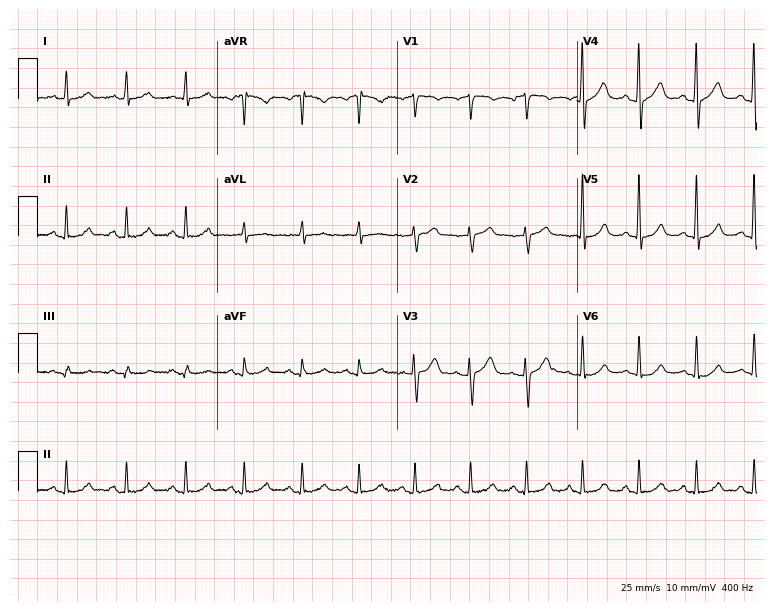
Resting 12-lead electrocardiogram. Patient: a man, 78 years old. The tracing shows sinus tachycardia (a sinus rate of 100 beats per minute or more).